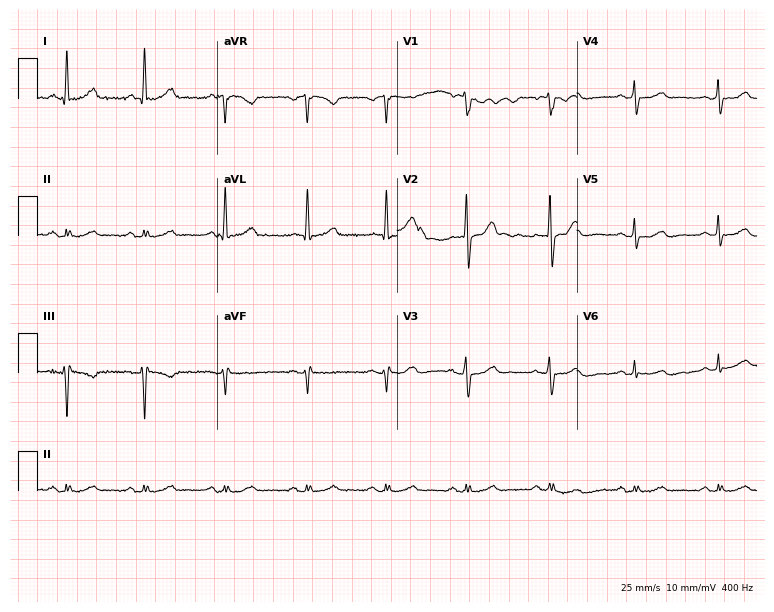
12-lead ECG from a 54-year-old woman (7.3-second recording at 400 Hz). Recorded interpretation: within normal limits.